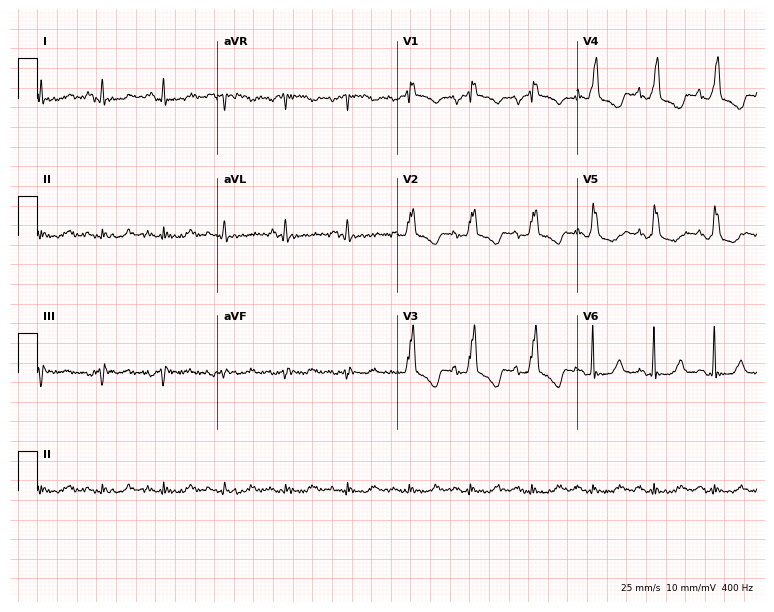
12-lead ECG from a woman, 41 years old. Screened for six findings — first-degree AV block, right bundle branch block, left bundle branch block, sinus bradycardia, atrial fibrillation, sinus tachycardia — none is recorded.